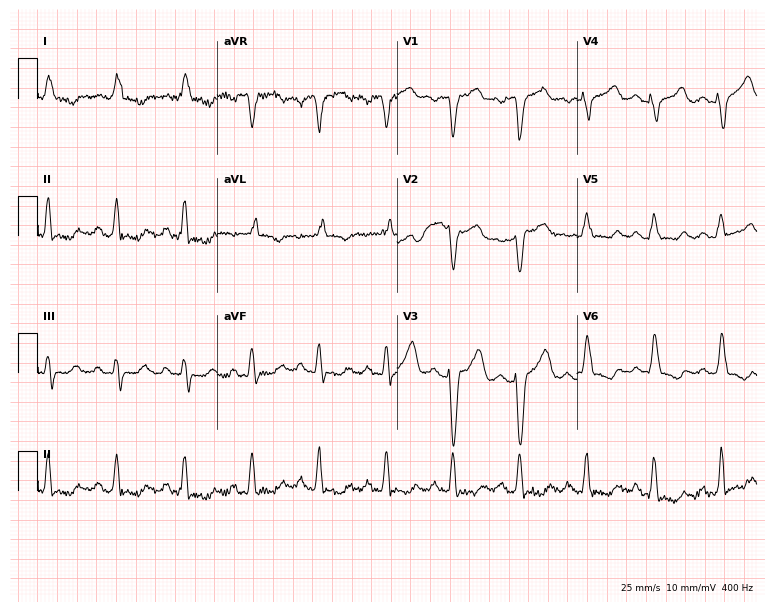
ECG (7.3-second recording at 400 Hz) — a 49-year-old female. Screened for six findings — first-degree AV block, right bundle branch block, left bundle branch block, sinus bradycardia, atrial fibrillation, sinus tachycardia — none is recorded.